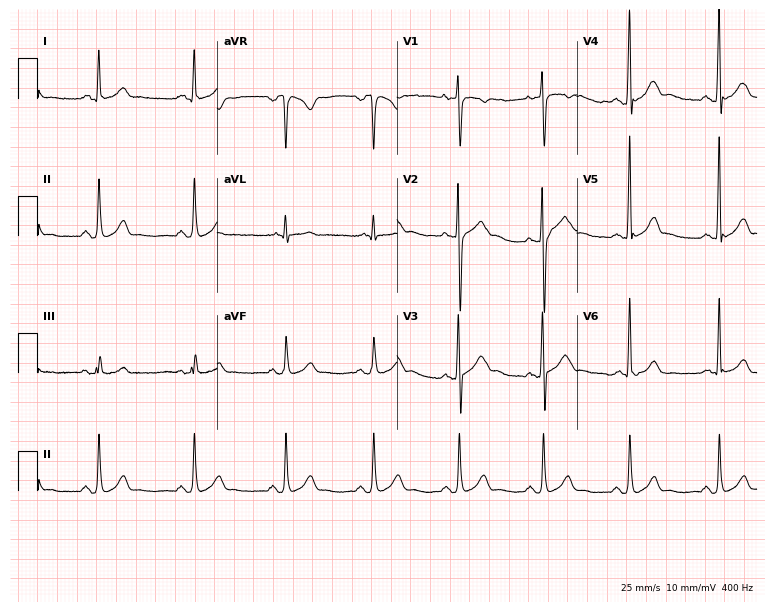
Resting 12-lead electrocardiogram (7.3-second recording at 400 Hz). Patient: a 25-year-old man. Read as a normal ECG.